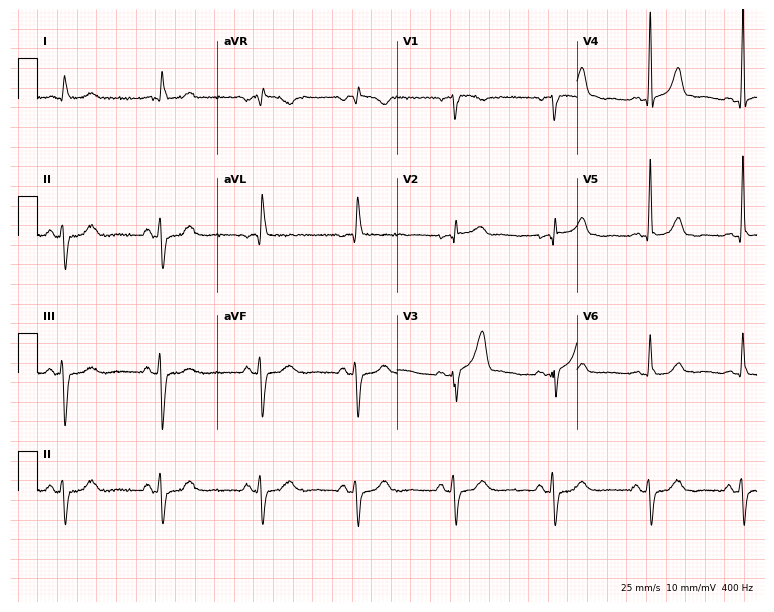
12-lead ECG from an 80-year-old woman (7.3-second recording at 400 Hz). No first-degree AV block, right bundle branch block, left bundle branch block, sinus bradycardia, atrial fibrillation or sinus tachycardia recorded for this tracing.